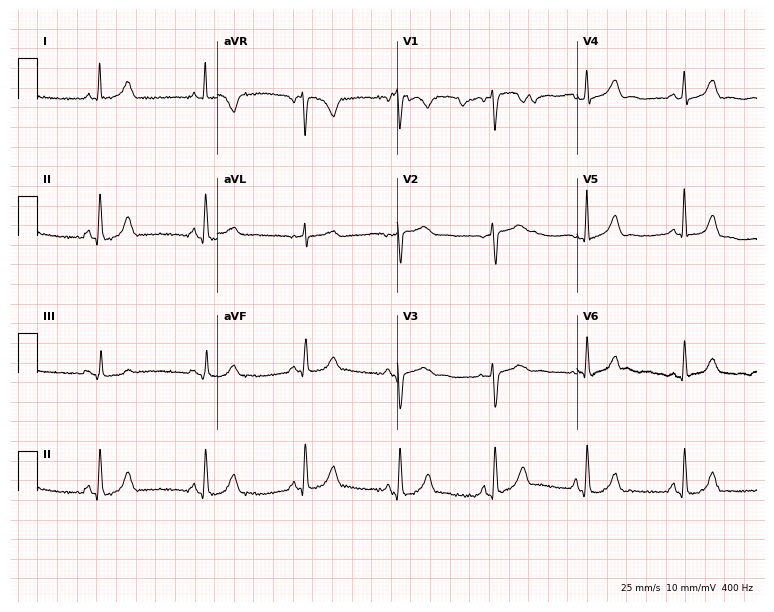
Electrocardiogram, a 40-year-old woman. Overall reading on record: normal ECG.